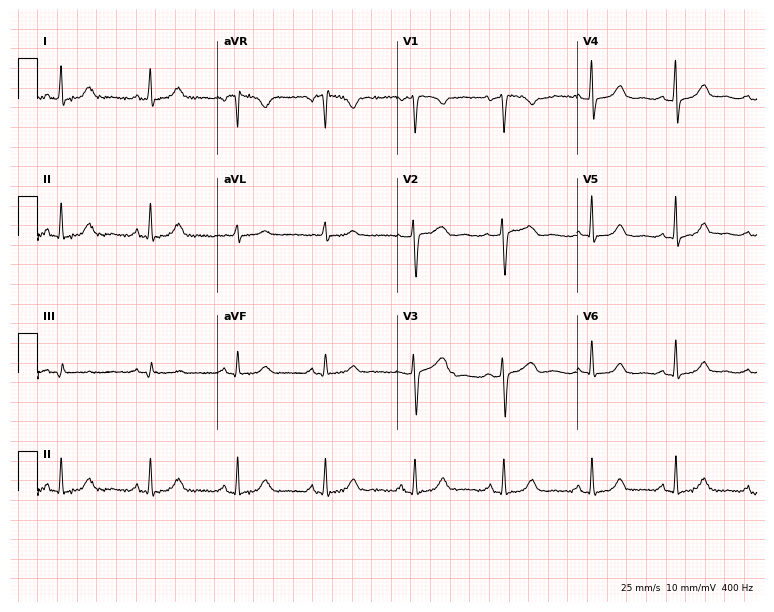
12-lead ECG from a female patient, 50 years old. Labelled as a normal ECG.